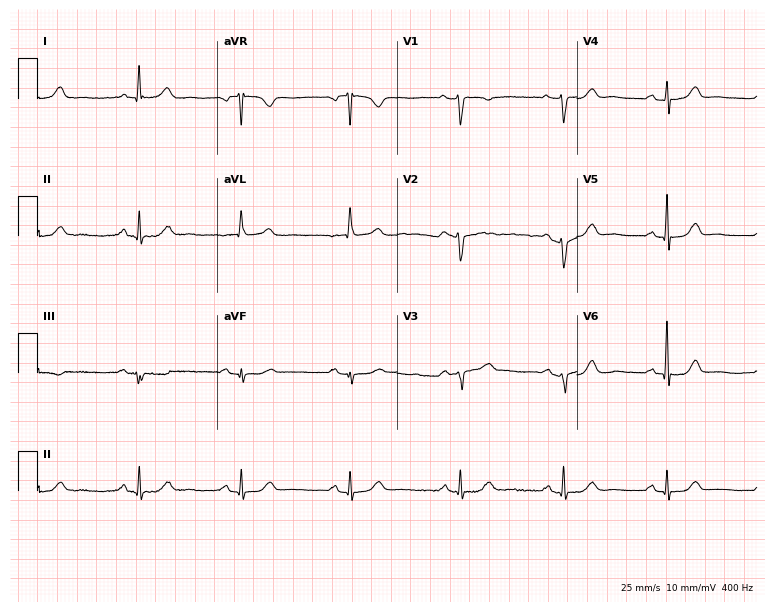
Resting 12-lead electrocardiogram (7.3-second recording at 400 Hz). Patient: a 72-year-old female. None of these six findings is recorded: first-degree AV block, right bundle branch block (RBBB), left bundle branch block (LBBB), sinus bradycardia, atrial fibrillation (AF), sinus tachycardia. Findings outside these six are not listed.